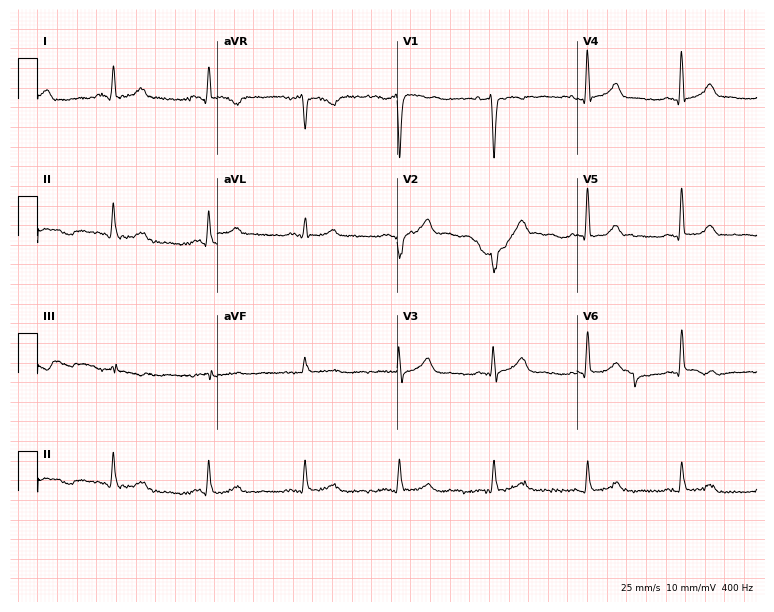
12-lead ECG (7.3-second recording at 400 Hz) from a 66-year-old female patient. Labelled as a normal ECG.